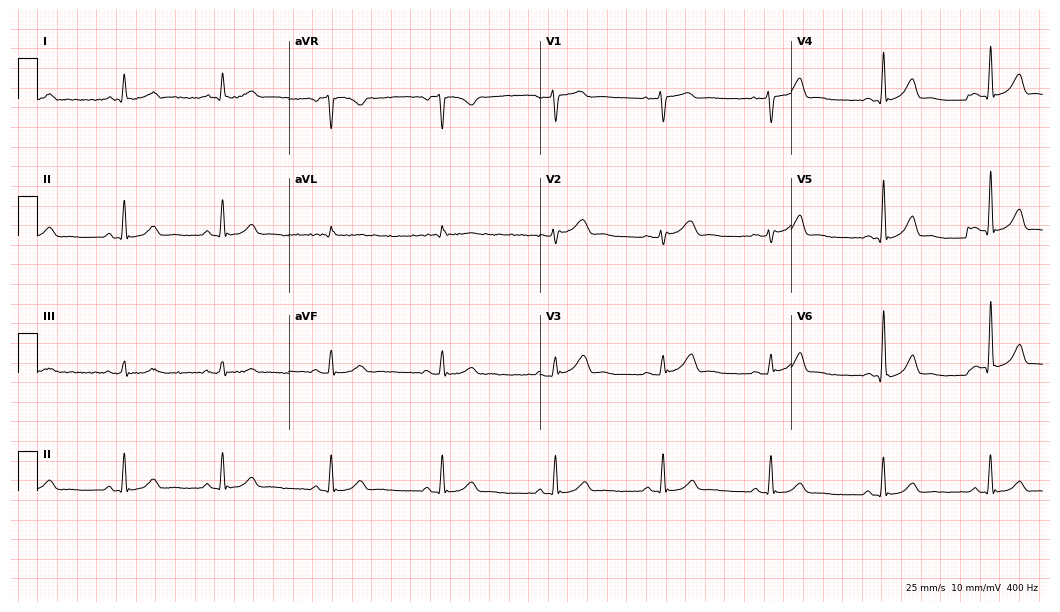
Standard 12-lead ECG recorded from a male patient, 51 years old. Read as a normal ECG.